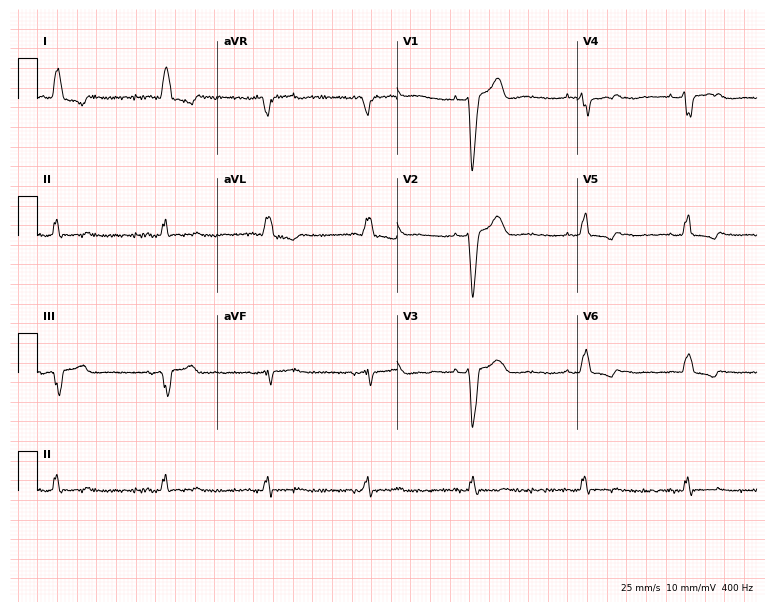
Resting 12-lead electrocardiogram. Patient: a female, 81 years old. The tracing shows left bundle branch block.